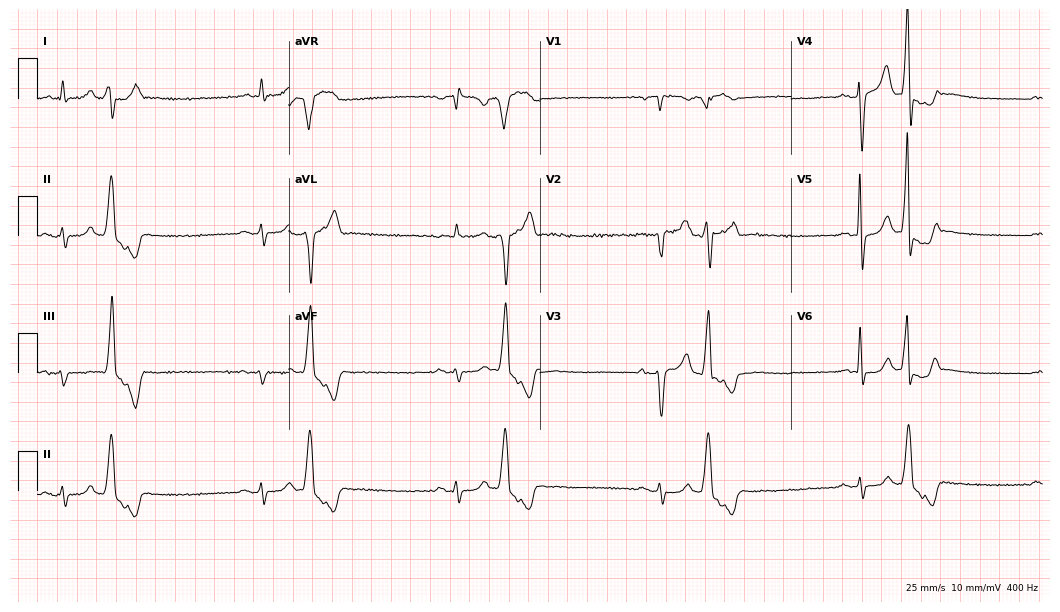
Standard 12-lead ECG recorded from an 82-year-old man. None of these six findings is recorded: first-degree AV block, right bundle branch block (RBBB), left bundle branch block (LBBB), sinus bradycardia, atrial fibrillation (AF), sinus tachycardia.